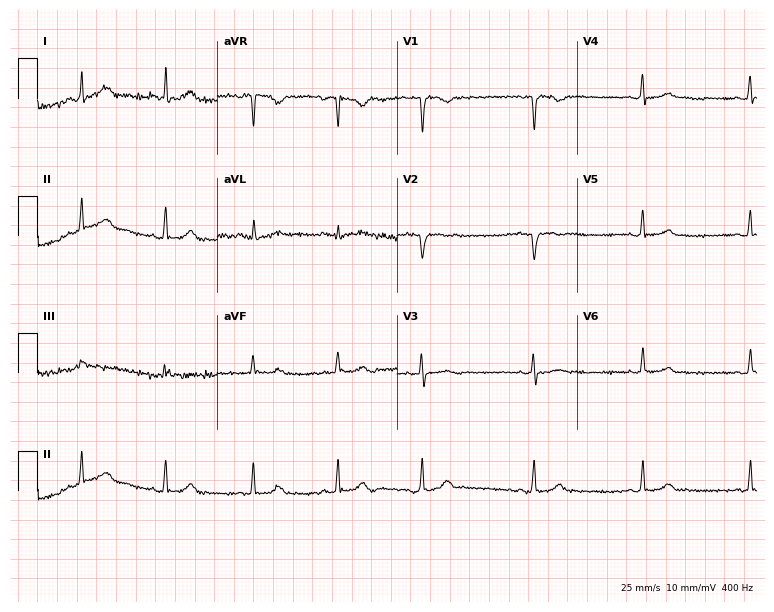
ECG (7.3-second recording at 400 Hz) — an 18-year-old female. Labelled as a normal ECG.